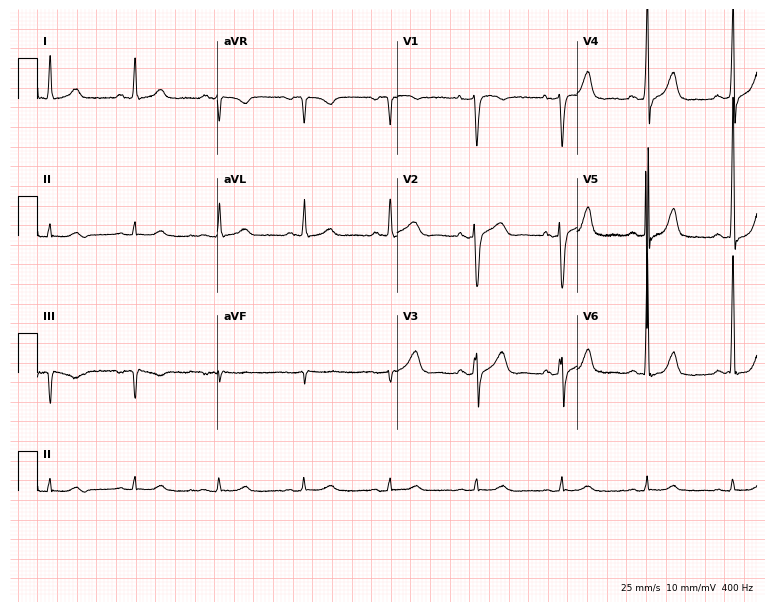
Electrocardiogram (7.3-second recording at 400 Hz), a 69-year-old female. Overall reading on record: normal ECG.